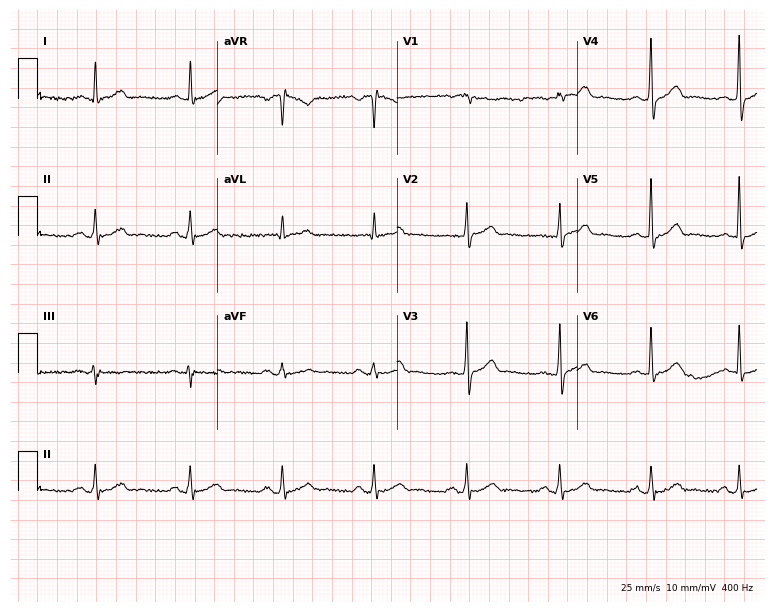
Electrocardiogram, a 65-year-old male patient. Overall reading on record: normal ECG.